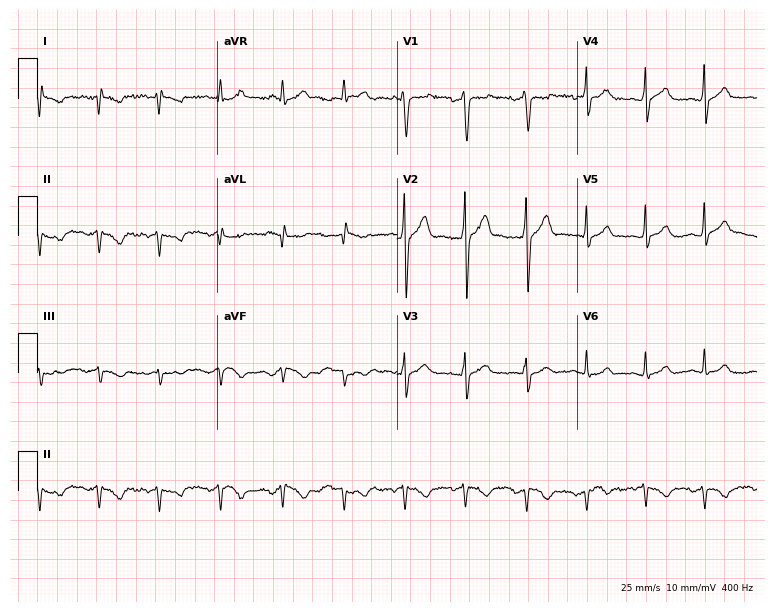
Standard 12-lead ECG recorded from a man, 46 years old (7.3-second recording at 400 Hz). None of these six findings is recorded: first-degree AV block, right bundle branch block (RBBB), left bundle branch block (LBBB), sinus bradycardia, atrial fibrillation (AF), sinus tachycardia. Findings outside these six are not listed.